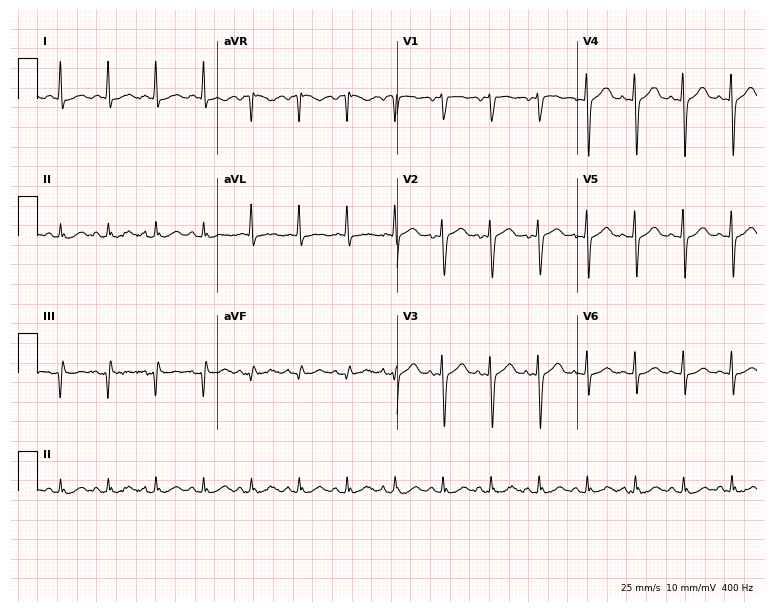
ECG — a female, 44 years old. Findings include sinus tachycardia (a sinus rate of 100 beats per minute or more).